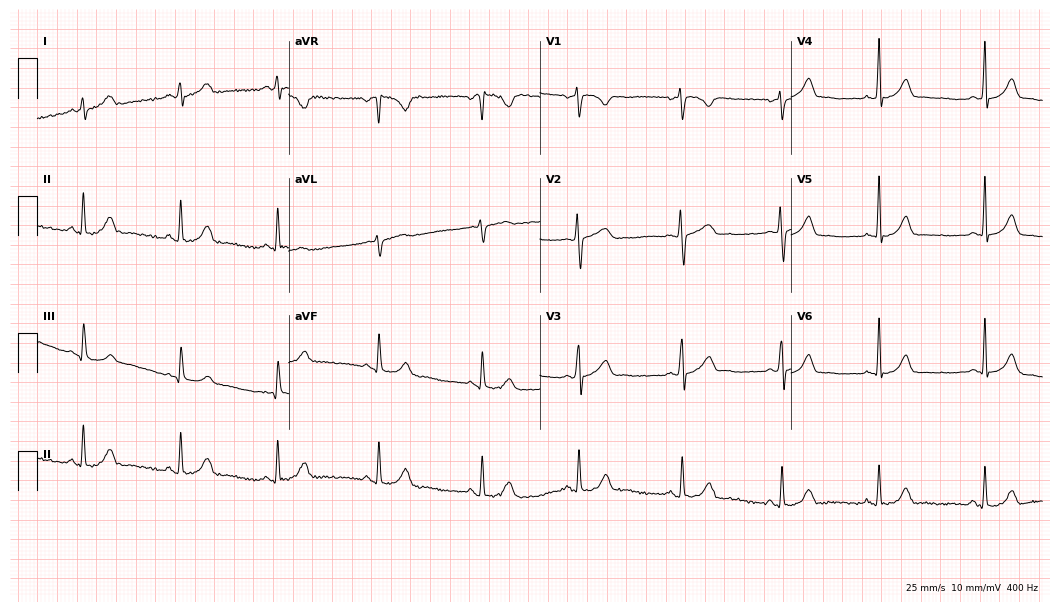
12-lead ECG (10.2-second recording at 400 Hz) from a female patient, 21 years old. Labelled as a normal ECG.